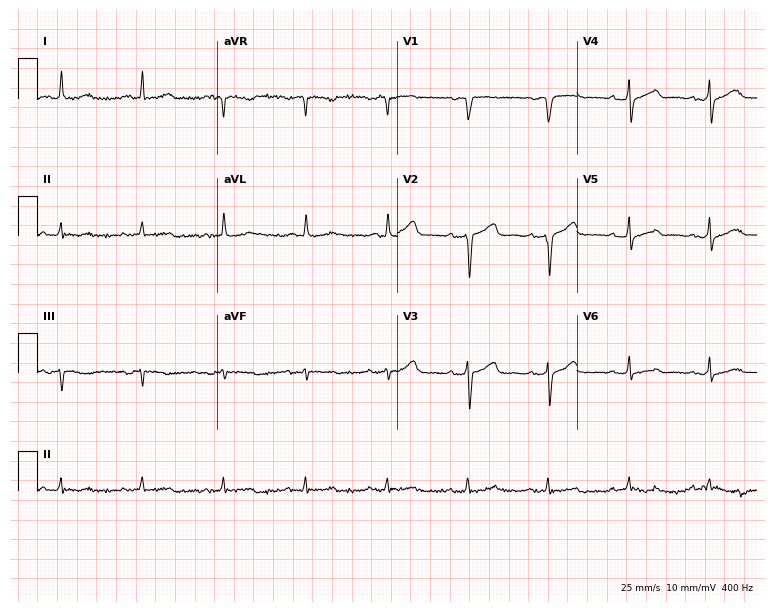
12-lead ECG (7.3-second recording at 400 Hz) from a 70-year-old woman. Screened for six findings — first-degree AV block, right bundle branch block, left bundle branch block, sinus bradycardia, atrial fibrillation, sinus tachycardia — none is recorded. Findings outside these six are not listed.